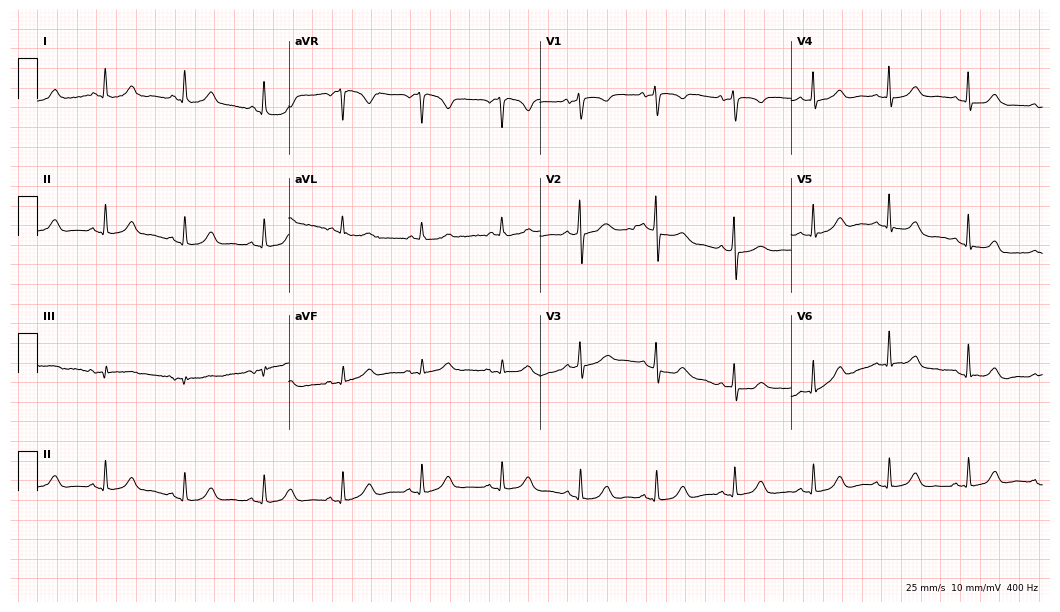
Electrocardiogram (10.2-second recording at 400 Hz), a 63-year-old female. Overall reading on record: normal ECG.